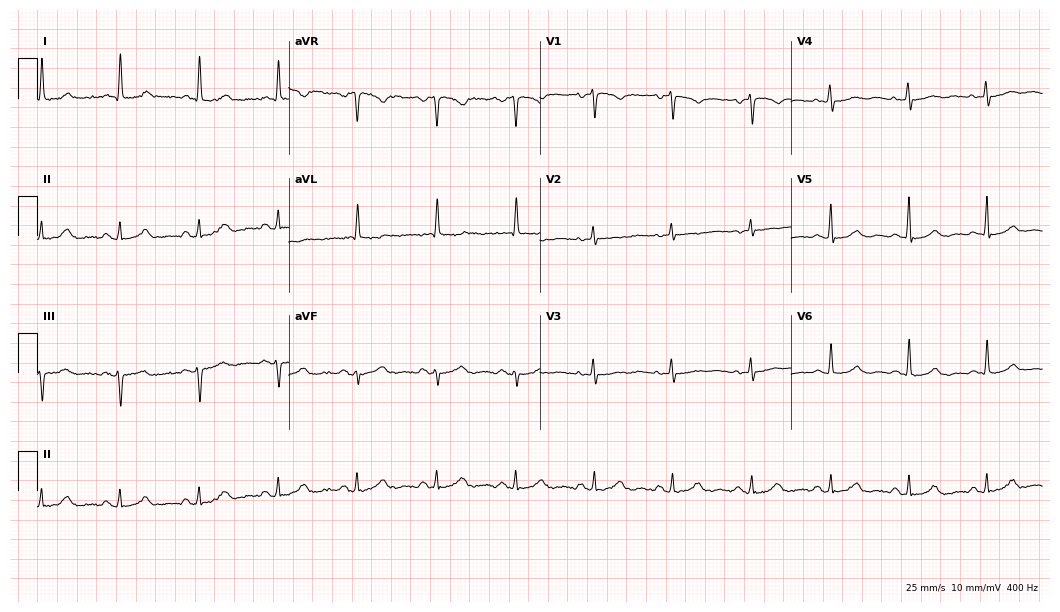
12-lead ECG from a 64-year-old female patient. Labelled as a normal ECG.